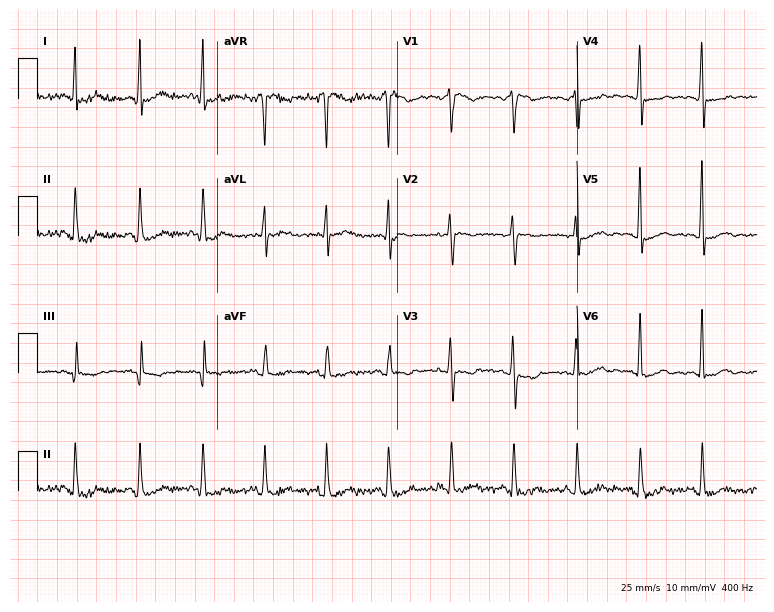
Standard 12-lead ECG recorded from a woman, 52 years old (7.3-second recording at 400 Hz). None of these six findings is recorded: first-degree AV block, right bundle branch block, left bundle branch block, sinus bradycardia, atrial fibrillation, sinus tachycardia. Findings outside these six are not listed.